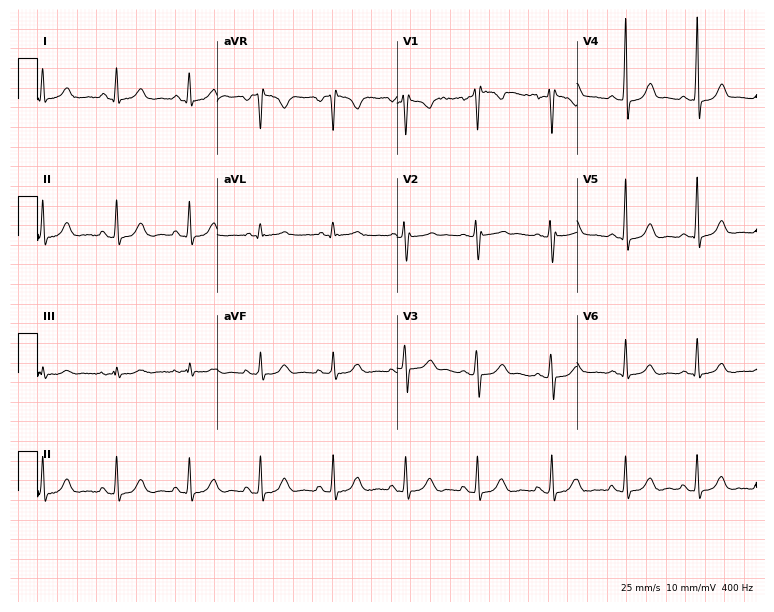
Resting 12-lead electrocardiogram (7.3-second recording at 400 Hz). Patient: a female, 26 years old. None of these six findings is recorded: first-degree AV block, right bundle branch block, left bundle branch block, sinus bradycardia, atrial fibrillation, sinus tachycardia. Only these six findings were labelled.